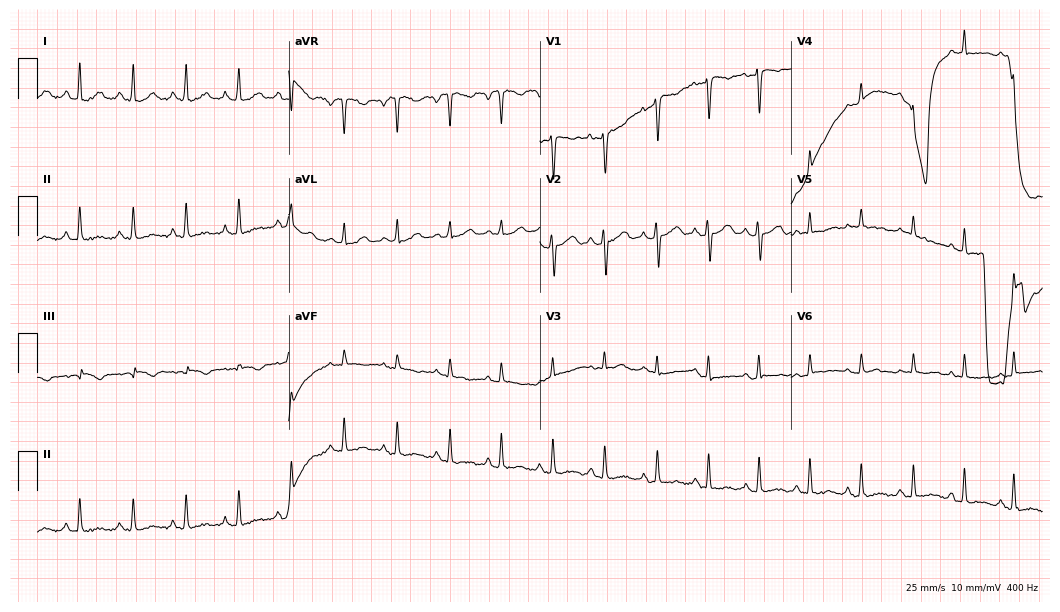
Electrocardiogram (10.2-second recording at 400 Hz), a woman, 26 years old. Interpretation includes sinus tachycardia (a sinus rate of 100 beats per minute or more).